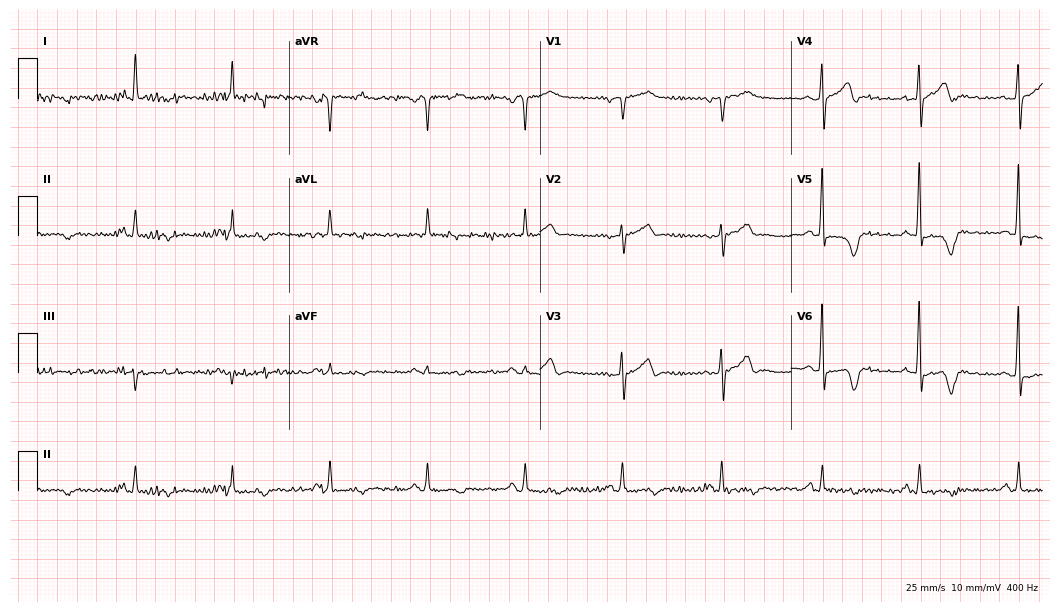
Resting 12-lead electrocardiogram. Patient: a man, 61 years old. None of these six findings is recorded: first-degree AV block, right bundle branch block, left bundle branch block, sinus bradycardia, atrial fibrillation, sinus tachycardia.